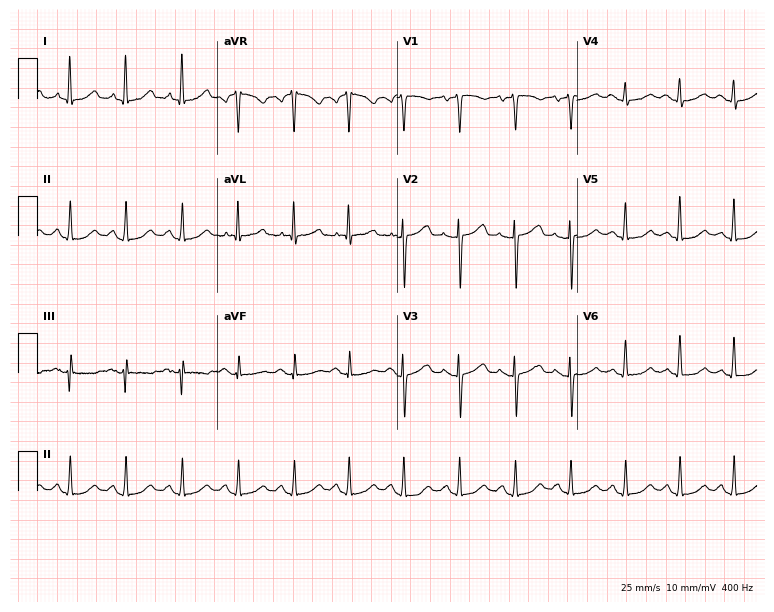
Resting 12-lead electrocardiogram. Patient: a 60-year-old woman. The tracing shows sinus tachycardia (a sinus rate of 100 beats per minute or more).